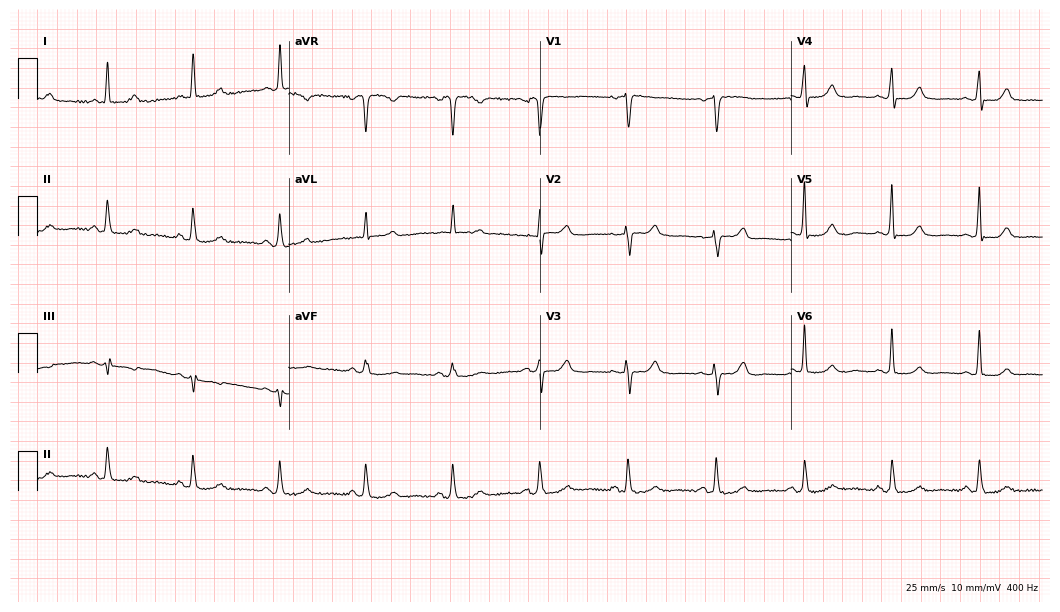
Standard 12-lead ECG recorded from a 69-year-old woman (10.2-second recording at 400 Hz). Read as a normal ECG.